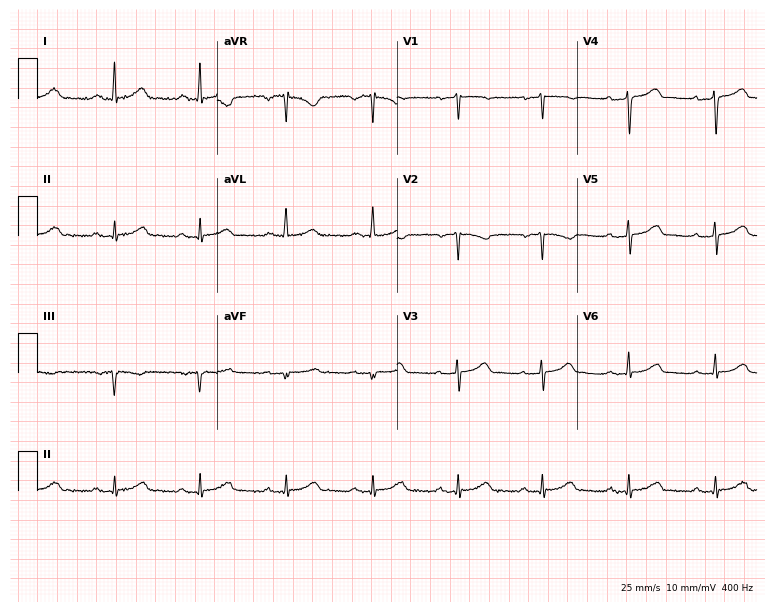
12-lead ECG from a woman, 57 years old (7.3-second recording at 400 Hz). Recorded interpretation: within normal limits.